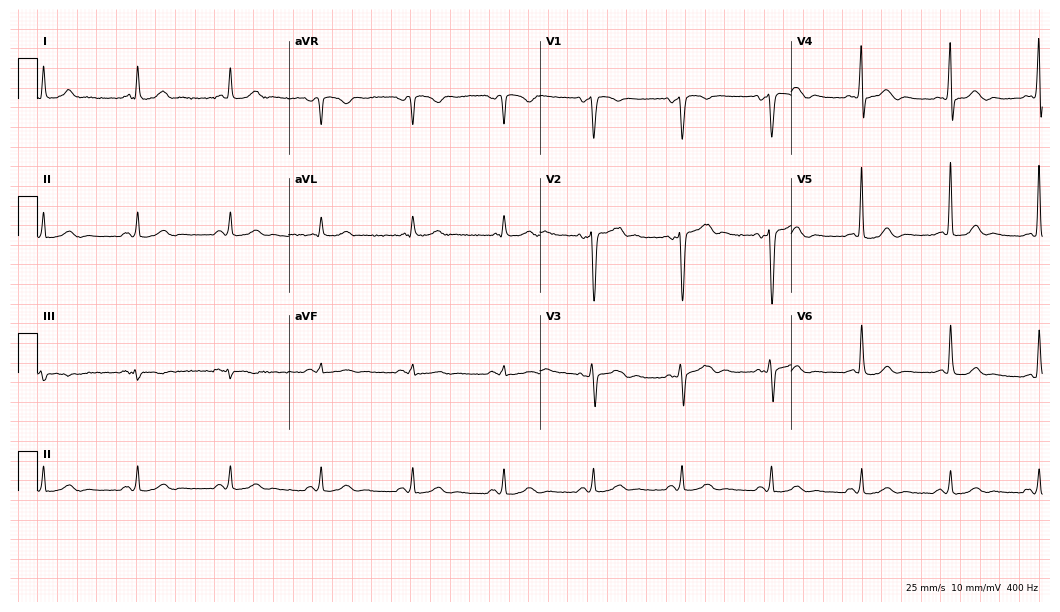
Resting 12-lead electrocardiogram. Patient: a male, 62 years old. None of these six findings is recorded: first-degree AV block, right bundle branch block, left bundle branch block, sinus bradycardia, atrial fibrillation, sinus tachycardia.